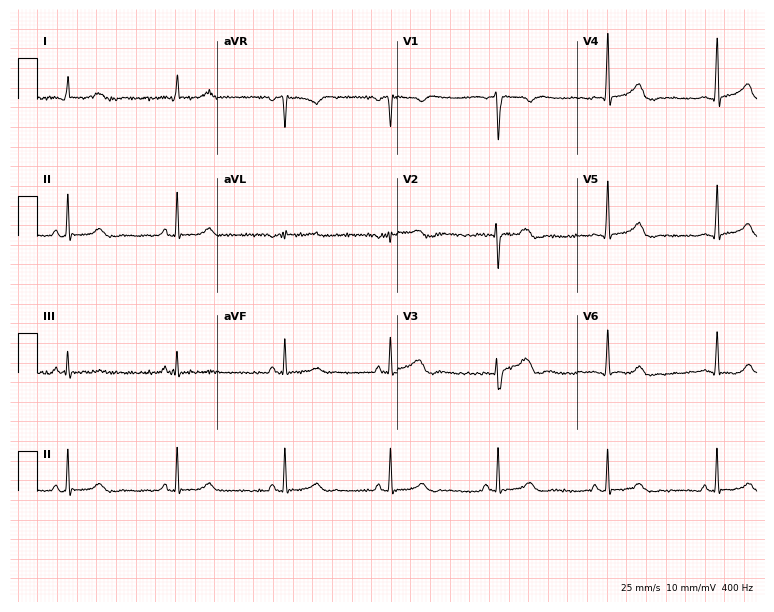
Standard 12-lead ECG recorded from a 35-year-old male patient. Read as a normal ECG.